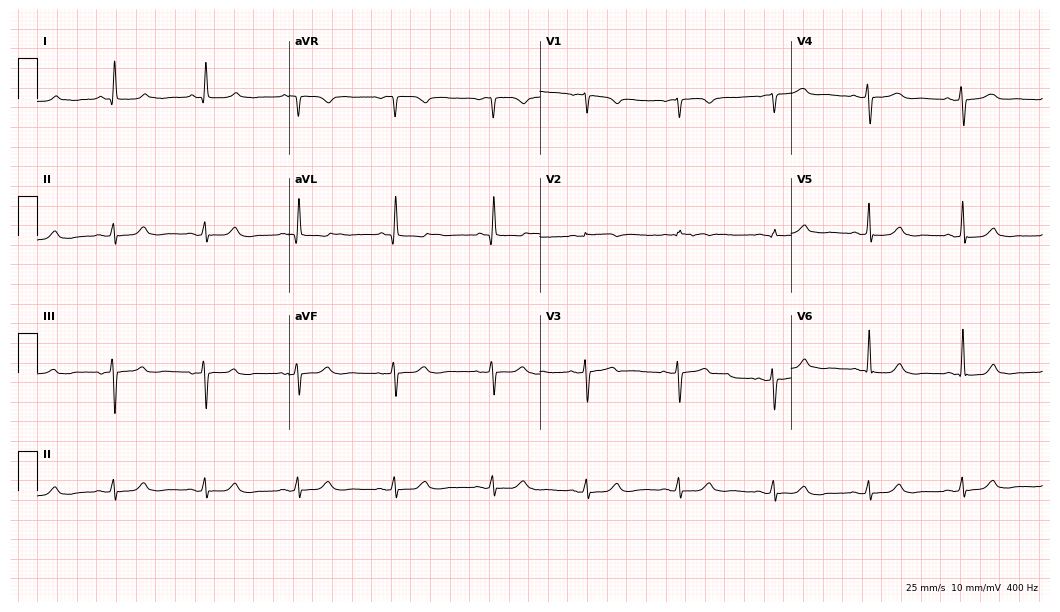
Standard 12-lead ECG recorded from a 71-year-old female patient (10.2-second recording at 400 Hz). Read as a normal ECG.